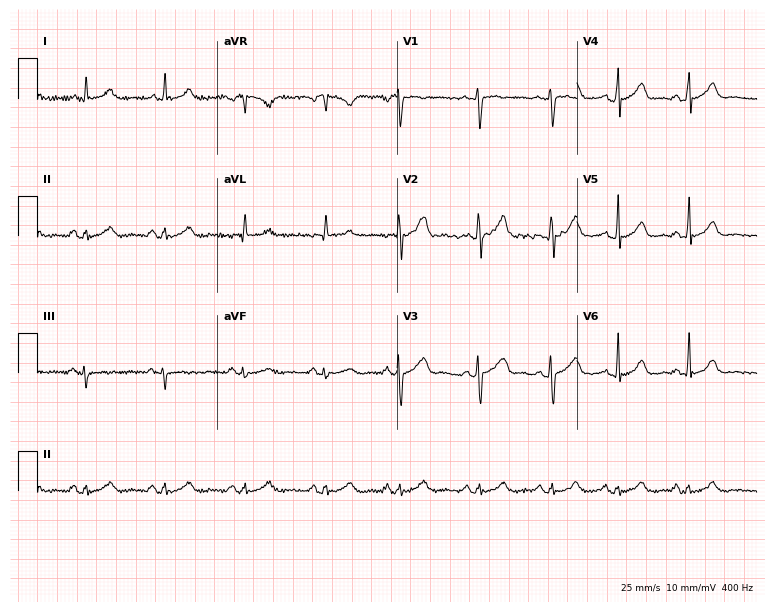
12-lead ECG from a woman, 34 years old (7.3-second recording at 400 Hz). Recorded interpretation: within normal limits.